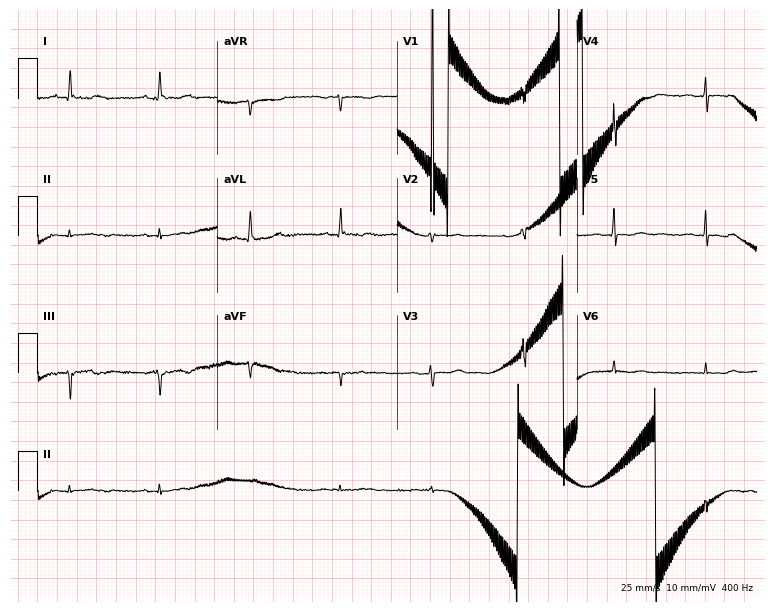
Standard 12-lead ECG recorded from a female patient, 80 years old (7.3-second recording at 400 Hz). None of these six findings is recorded: first-degree AV block, right bundle branch block (RBBB), left bundle branch block (LBBB), sinus bradycardia, atrial fibrillation (AF), sinus tachycardia.